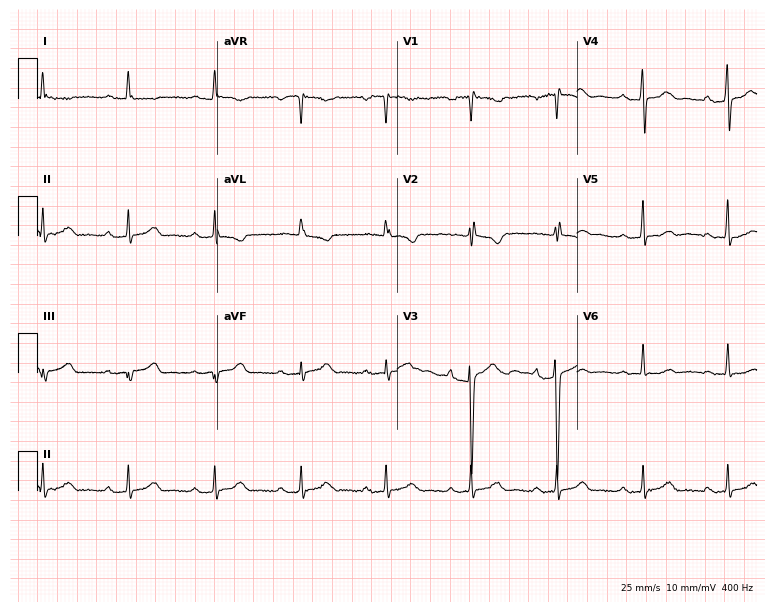
ECG (7.3-second recording at 400 Hz) — a 67-year-old female patient. Screened for six findings — first-degree AV block, right bundle branch block, left bundle branch block, sinus bradycardia, atrial fibrillation, sinus tachycardia — none is recorded. Only these six findings were labelled.